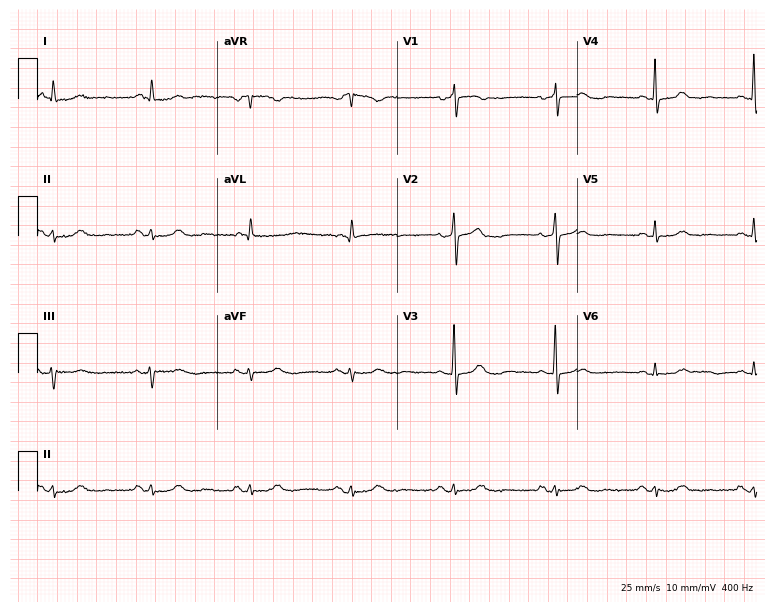
Standard 12-lead ECG recorded from a woman, 80 years old (7.3-second recording at 400 Hz). Read as a normal ECG.